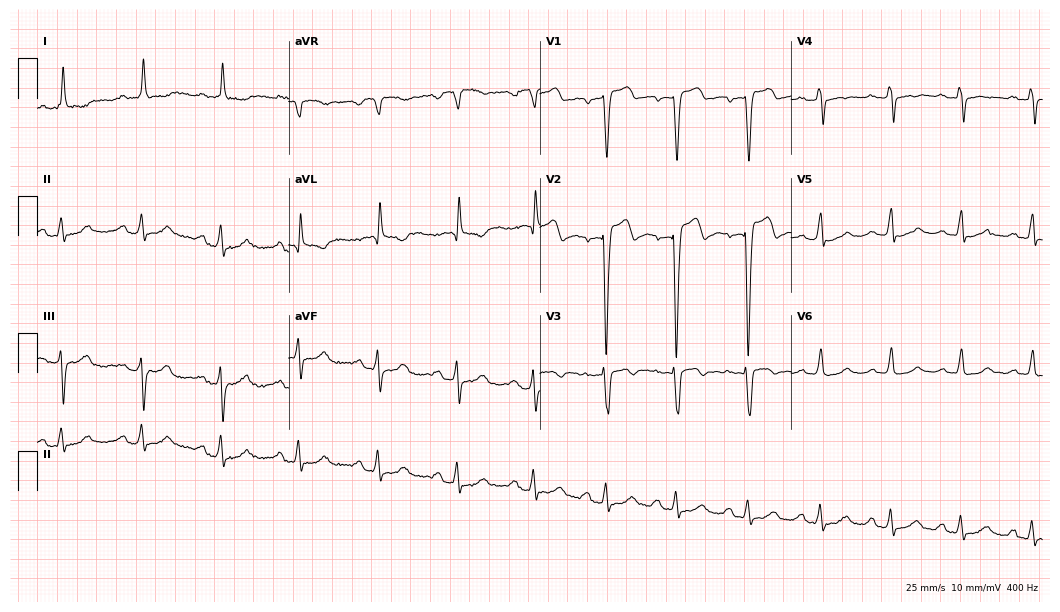
Standard 12-lead ECG recorded from a male, 70 years old (10.2-second recording at 400 Hz). The tracing shows first-degree AV block.